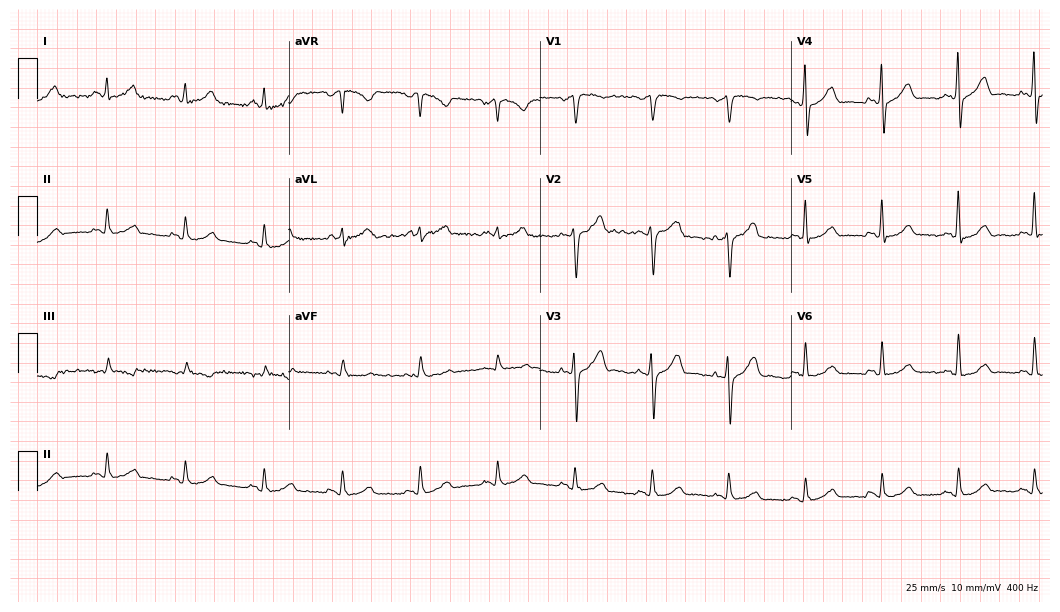
12-lead ECG from a 61-year-old man. Labelled as a normal ECG.